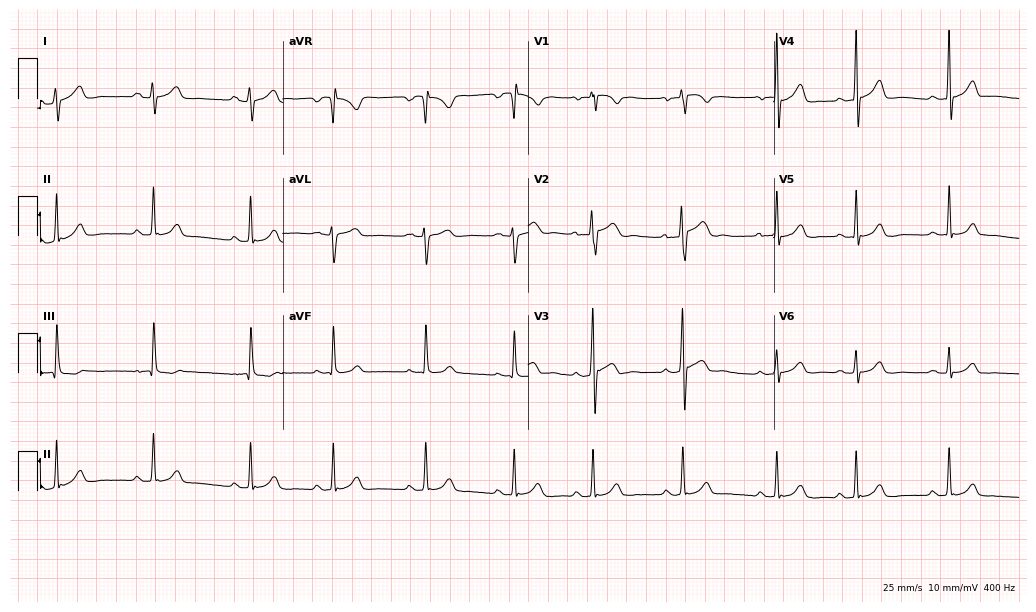
ECG (10-second recording at 400 Hz) — a male patient, 18 years old. Screened for six findings — first-degree AV block, right bundle branch block (RBBB), left bundle branch block (LBBB), sinus bradycardia, atrial fibrillation (AF), sinus tachycardia — none is recorded.